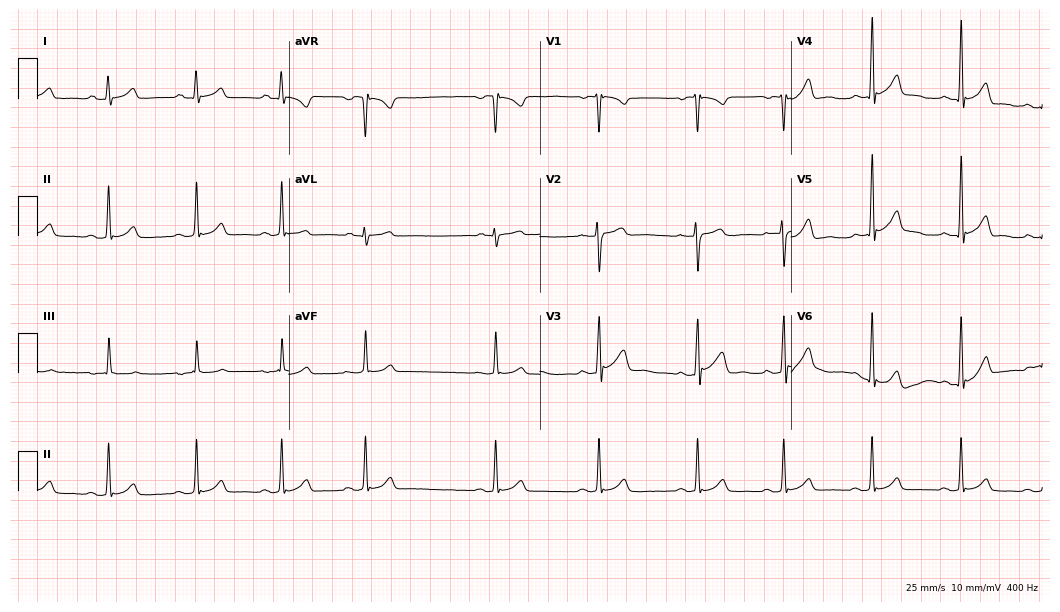
12-lead ECG (10.2-second recording at 400 Hz) from a male, 20 years old. Labelled as a normal ECG.